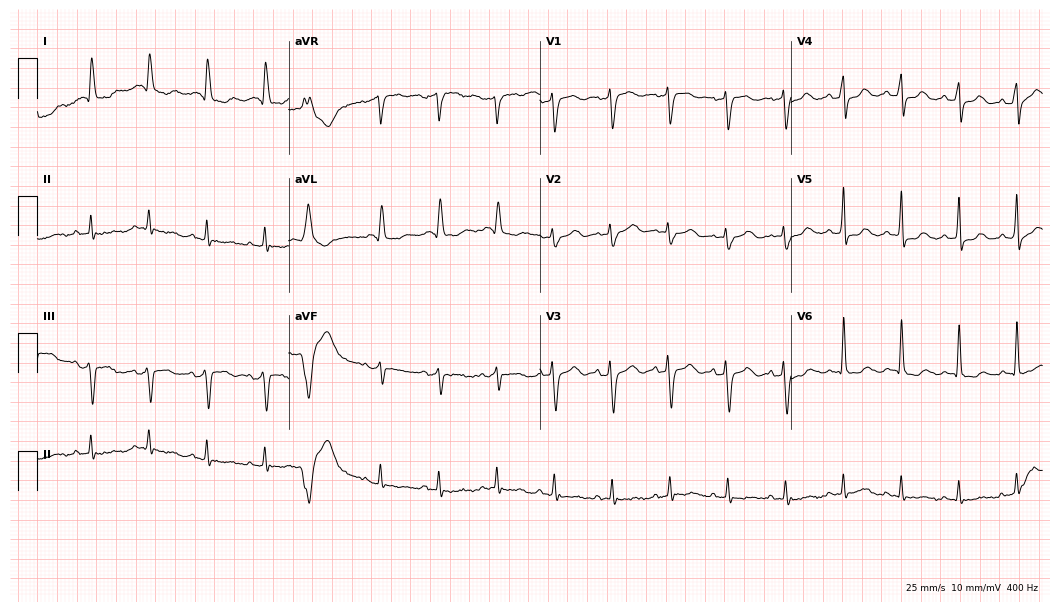
12-lead ECG from a female patient, 84 years old. Shows sinus tachycardia (a sinus rate of 100 beats per minute or more).